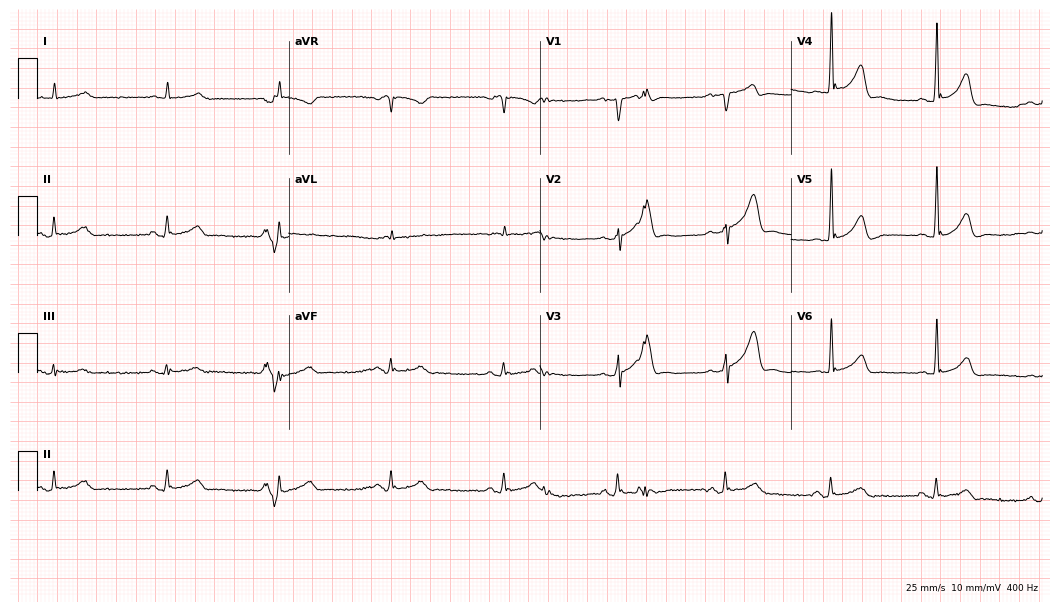
Electrocardiogram, a male patient, 54 years old. Of the six screened findings (first-degree AV block, right bundle branch block, left bundle branch block, sinus bradycardia, atrial fibrillation, sinus tachycardia), none is recorded.